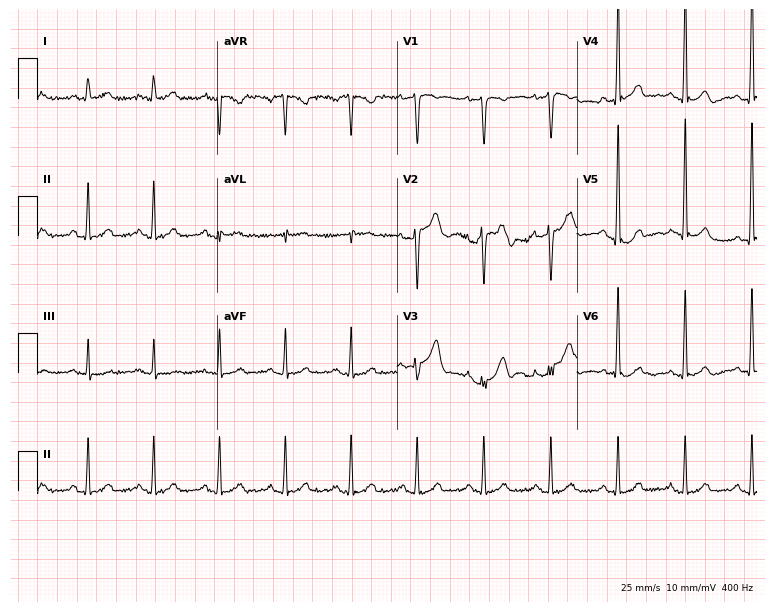
Standard 12-lead ECG recorded from a 68-year-old male (7.3-second recording at 400 Hz). Read as a normal ECG.